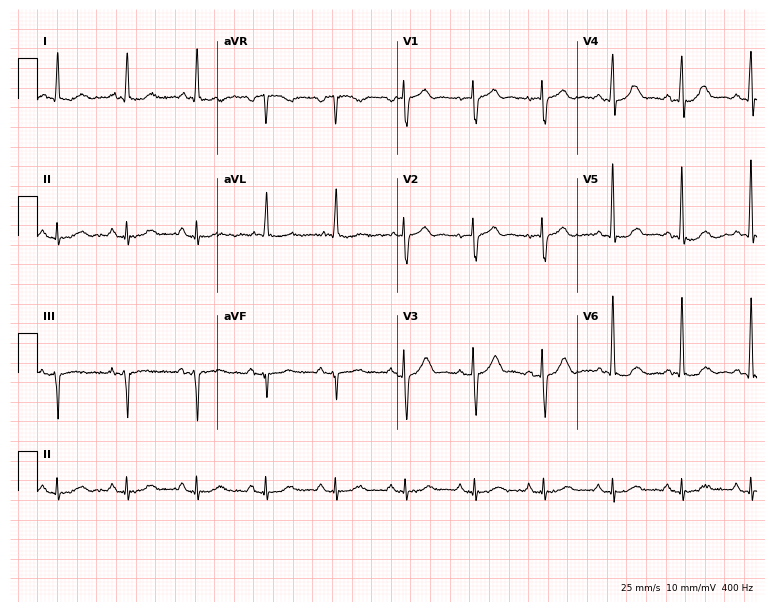
12-lead ECG (7.3-second recording at 400 Hz) from an 82-year-old man. Labelled as a normal ECG.